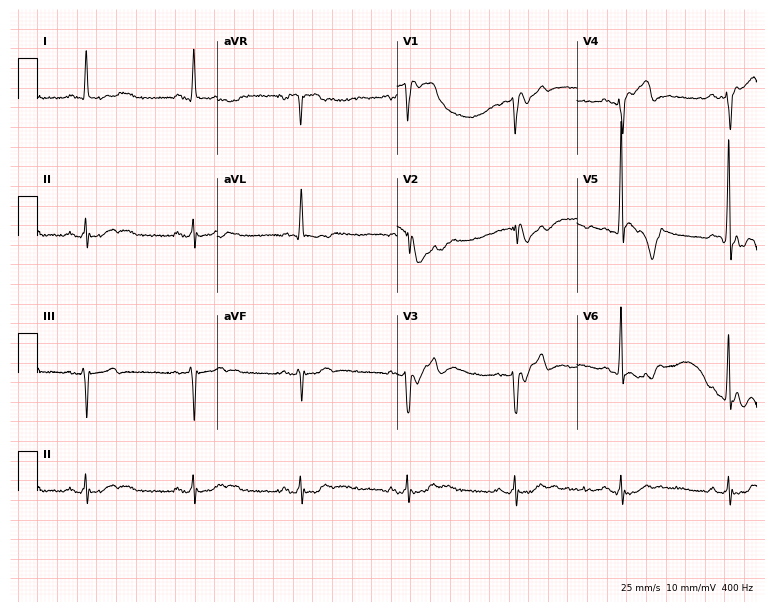
12-lead ECG from a male patient, 78 years old. No first-degree AV block, right bundle branch block (RBBB), left bundle branch block (LBBB), sinus bradycardia, atrial fibrillation (AF) or sinus tachycardia recorded for this tracing.